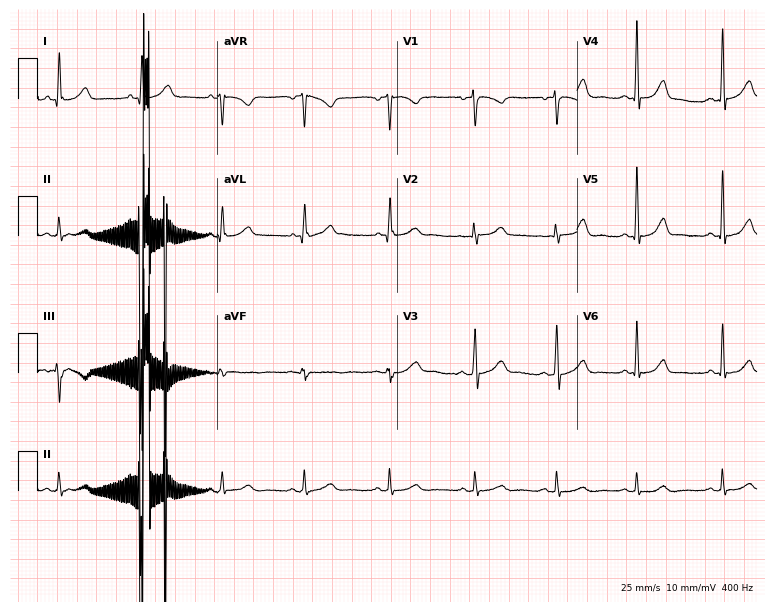
Electrocardiogram (7.3-second recording at 400 Hz), a 25-year-old female patient. Of the six screened findings (first-degree AV block, right bundle branch block, left bundle branch block, sinus bradycardia, atrial fibrillation, sinus tachycardia), none is recorded.